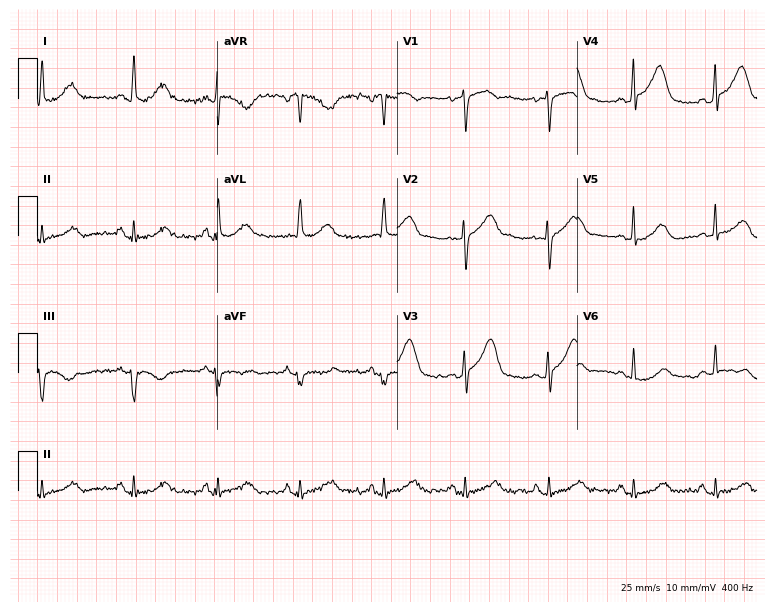
12-lead ECG (7.3-second recording at 400 Hz) from a woman, 73 years old. Labelled as a normal ECG.